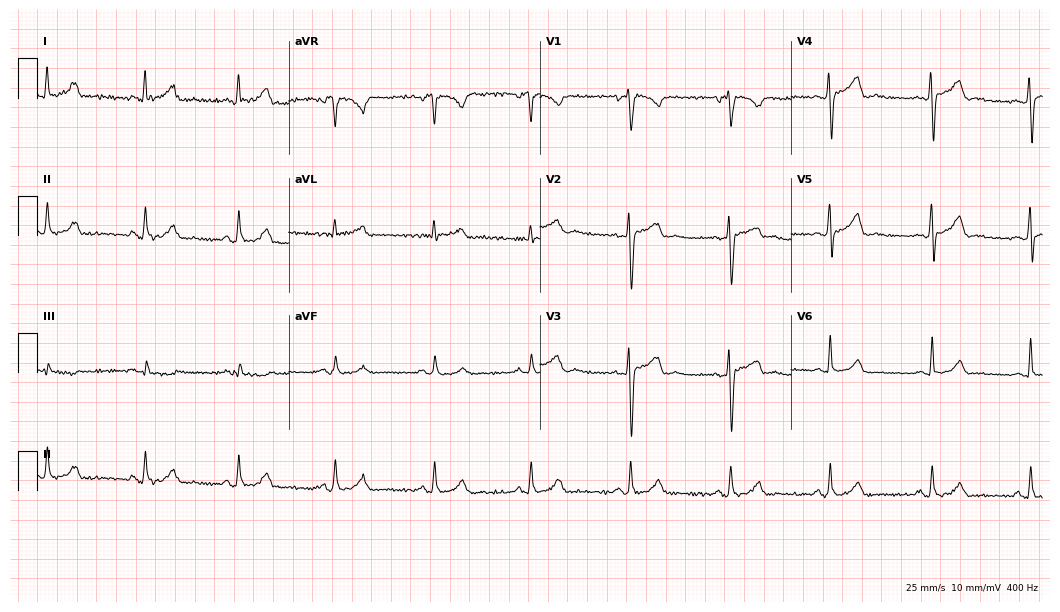
Electrocardiogram (10.2-second recording at 400 Hz), a 31-year-old female. Overall reading on record: normal ECG.